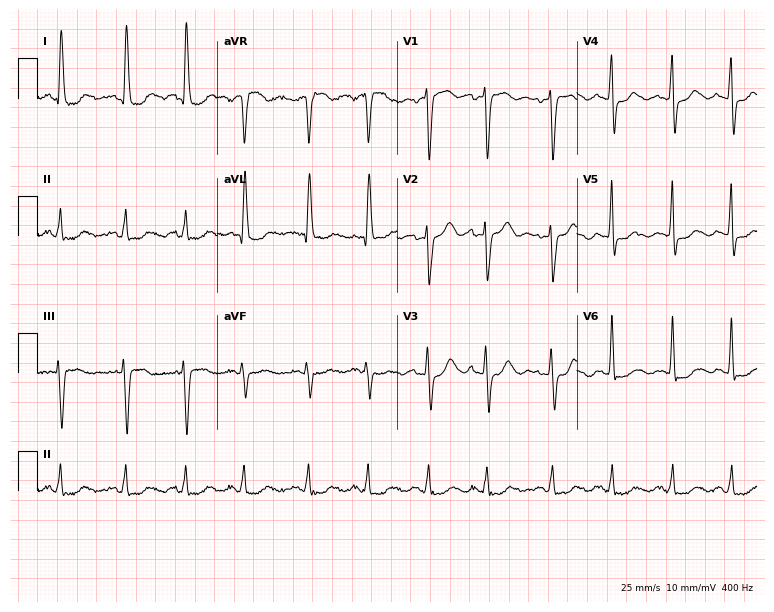
Electrocardiogram (7.3-second recording at 400 Hz), a woman, 78 years old. Of the six screened findings (first-degree AV block, right bundle branch block, left bundle branch block, sinus bradycardia, atrial fibrillation, sinus tachycardia), none is recorded.